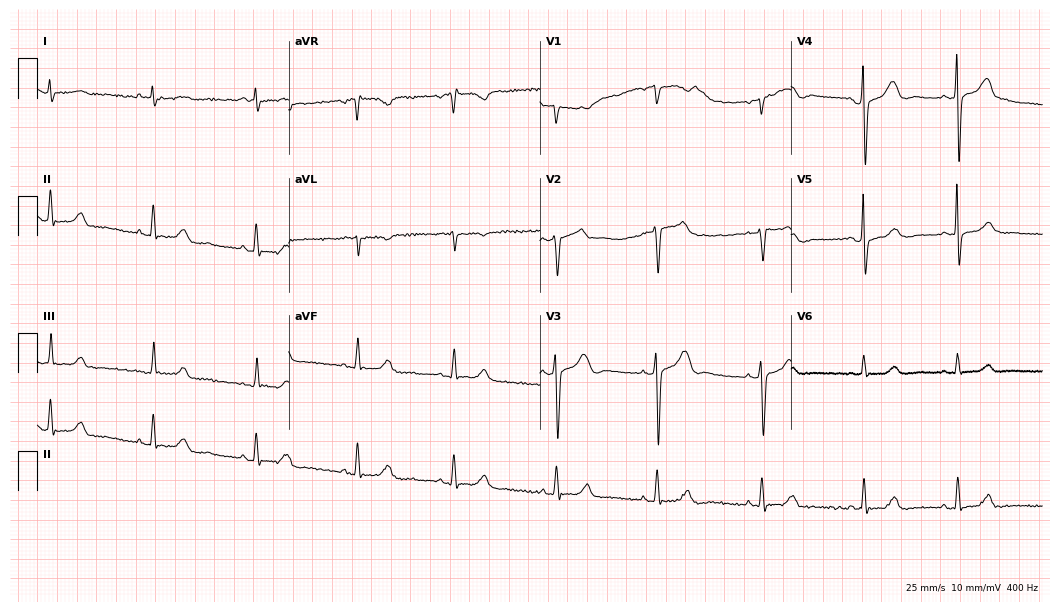
12-lead ECG from a 51-year-old man. Labelled as a normal ECG.